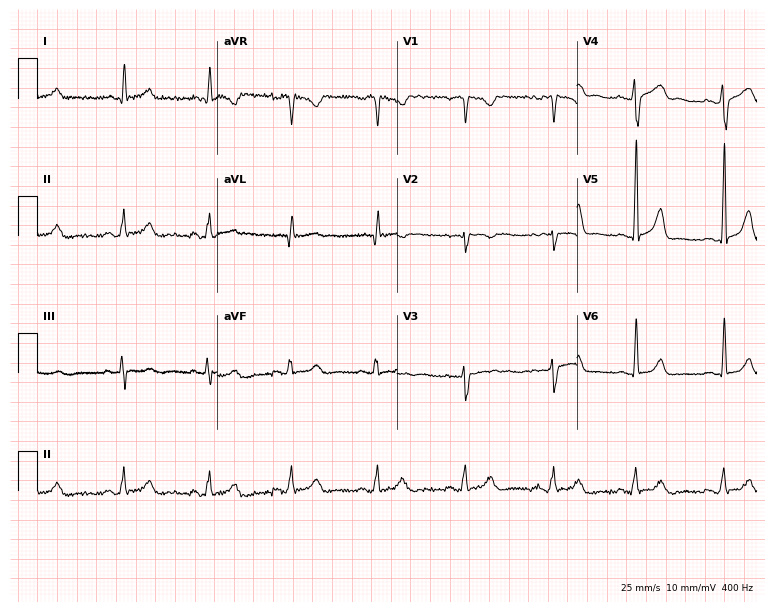
ECG (7.3-second recording at 400 Hz) — a 27-year-old female. Labelled as a normal ECG.